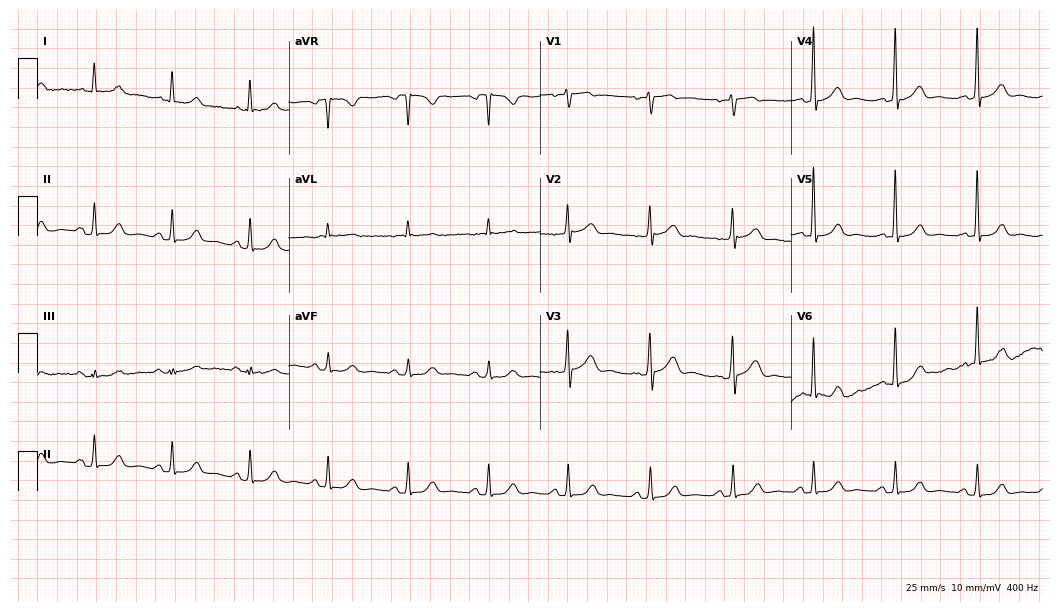
Resting 12-lead electrocardiogram (10.2-second recording at 400 Hz). Patient: a woman, 56 years old. Read as a normal ECG.